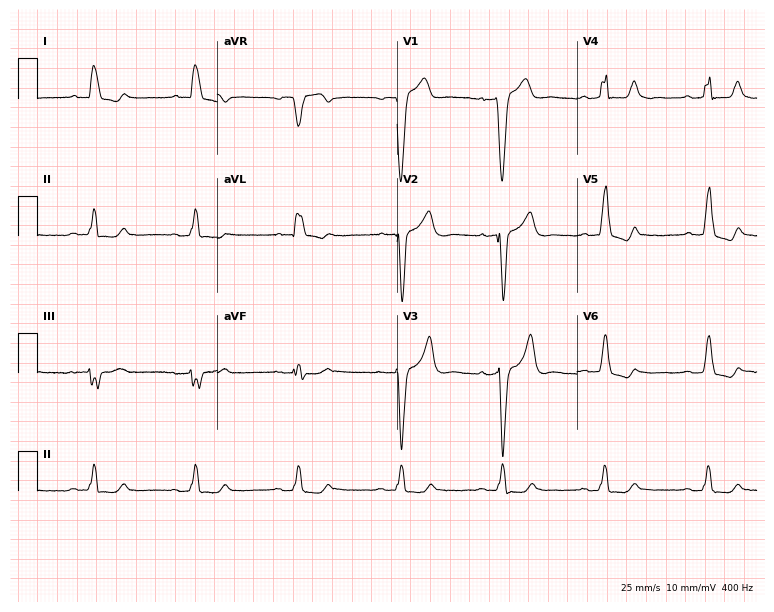
ECG — a male, 69 years old. Findings include left bundle branch block.